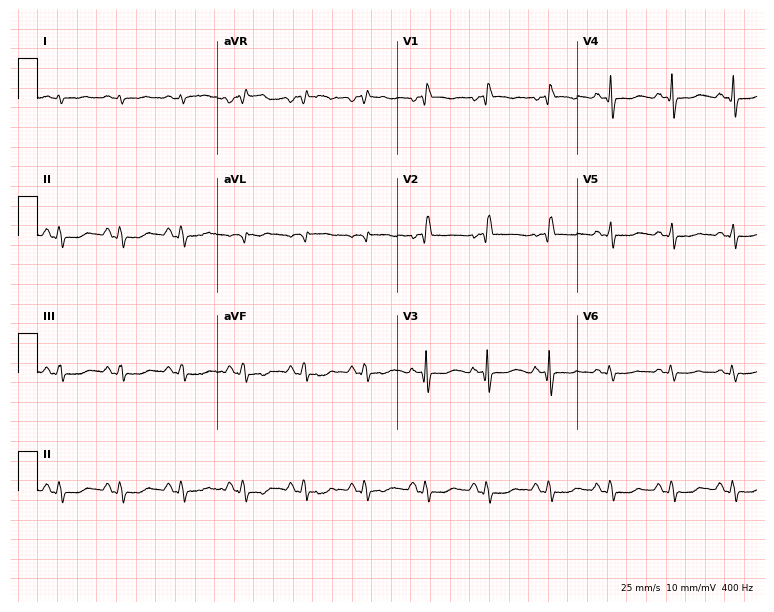
12-lead ECG from a 60-year-old female patient. No first-degree AV block, right bundle branch block, left bundle branch block, sinus bradycardia, atrial fibrillation or sinus tachycardia recorded for this tracing.